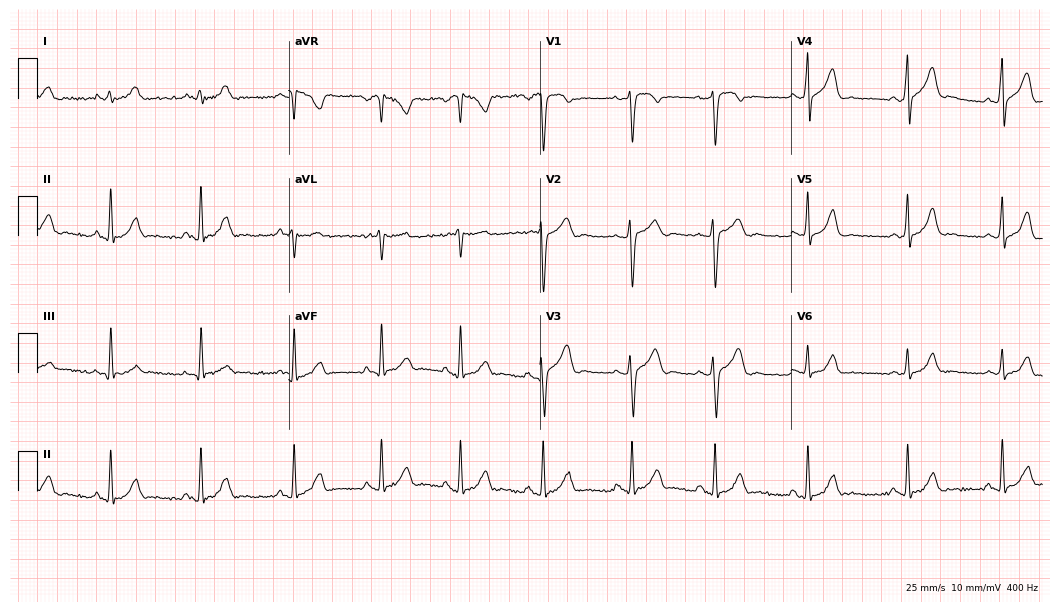
12-lead ECG from a male, 20 years old. Labelled as a normal ECG.